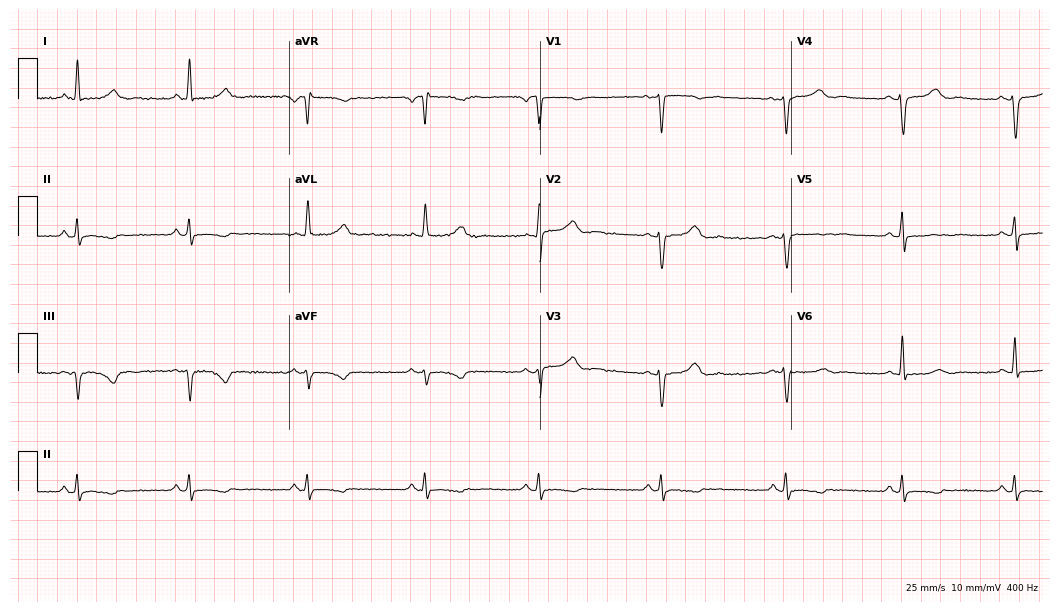
Resting 12-lead electrocardiogram (10.2-second recording at 400 Hz). Patient: a female, 53 years old. The tracing shows sinus bradycardia (a sinus rate of 50 beats per minute or less).